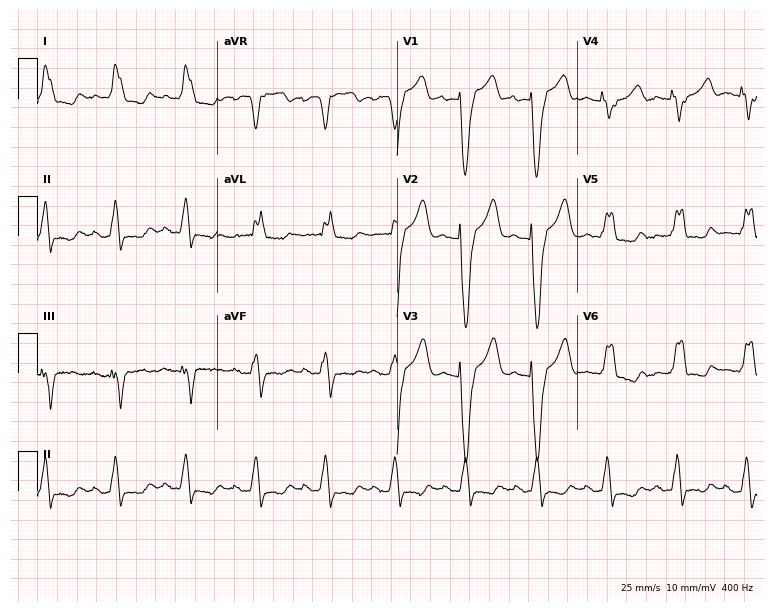
12-lead ECG (7.3-second recording at 400 Hz) from a female patient, 60 years old. Findings include left bundle branch block.